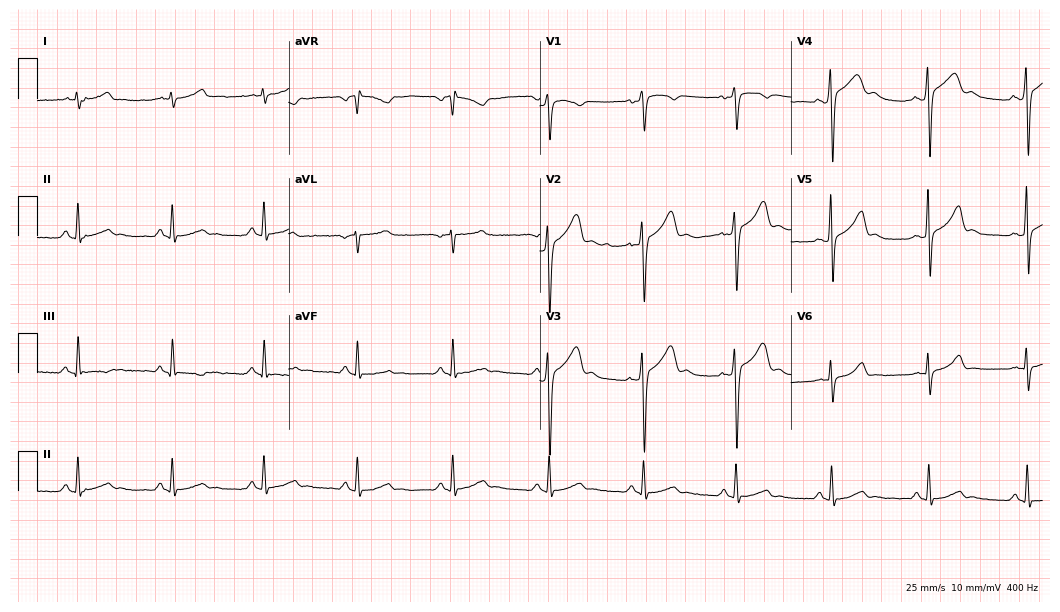
Electrocardiogram, a male, 36 years old. Of the six screened findings (first-degree AV block, right bundle branch block, left bundle branch block, sinus bradycardia, atrial fibrillation, sinus tachycardia), none is recorded.